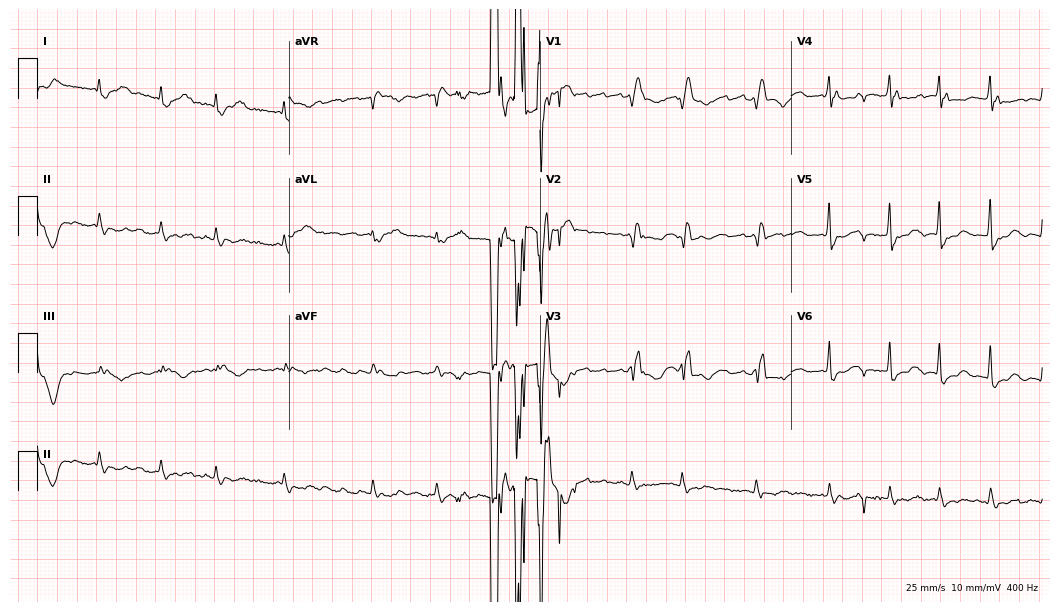
12-lead ECG from a woman, 80 years old. Shows atrial fibrillation (AF).